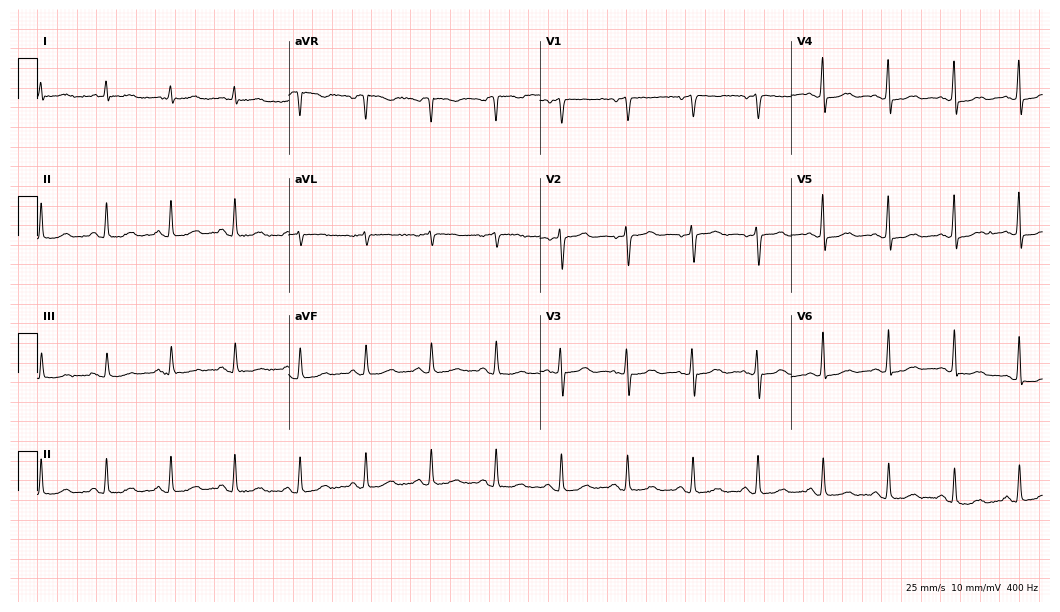
ECG (10.2-second recording at 400 Hz) — a 66-year-old woman. Labelled as a normal ECG.